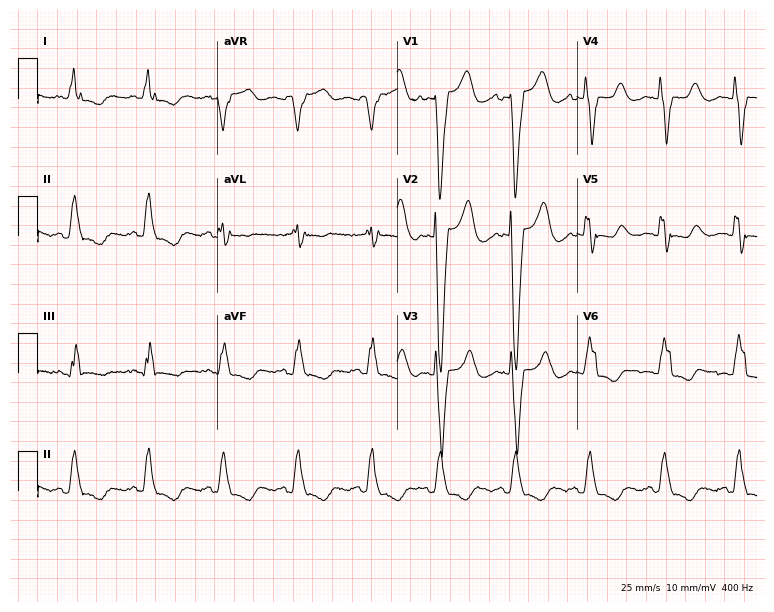
Electrocardiogram (7.3-second recording at 400 Hz), a female, 72 years old. Of the six screened findings (first-degree AV block, right bundle branch block (RBBB), left bundle branch block (LBBB), sinus bradycardia, atrial fibrillation (AF), sinus tachycardia), none is recorded. Only these six findings were labelled.